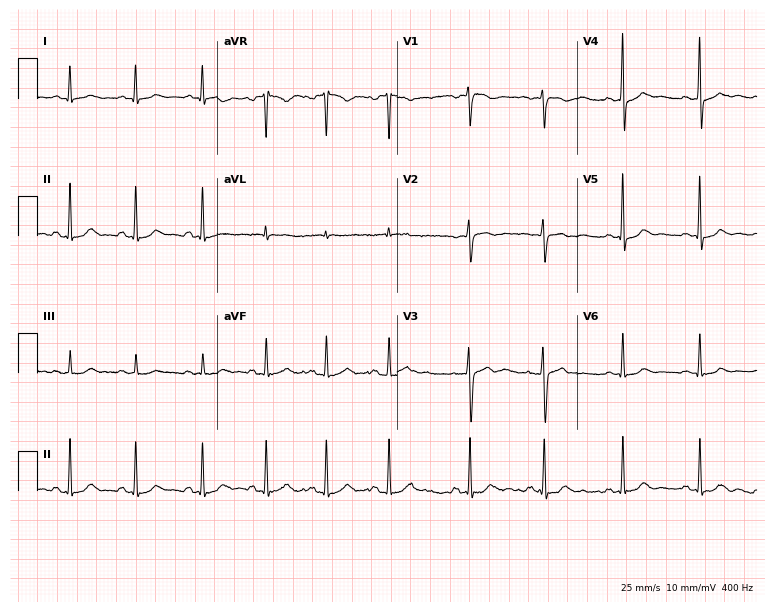
Standard 12-lead ECG recorded from a woman, 39 years old. None of these six findings is recorded: first-degree AV block, right bundle branch block, left bundle branch block, sinus bradycardia, atrial fibrillation, sinus tachycardia.